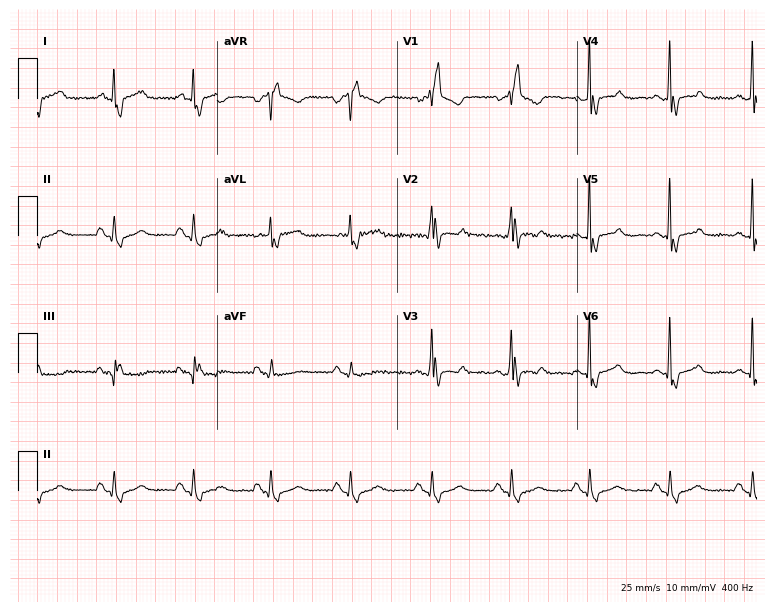
Resting 12-lead electrocardiogram (7.3-second recording at 400 Hz). Patient: a female, 55 years old. None of these six findings is recorded: first-degree AV block, right bundle branch block (RBBB), left bundle branch block (LBBB), sinus bradycardia, atrial fibrillation (AF), sinus tachycardia.